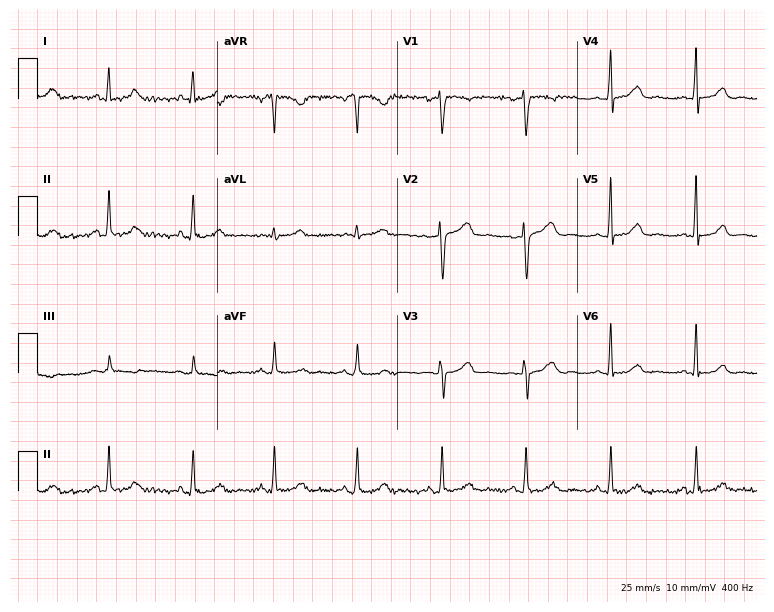
ECG (7.3-second recording at 400 Hz) — a 36-year-old female patient. Labelled as a normal ECG.